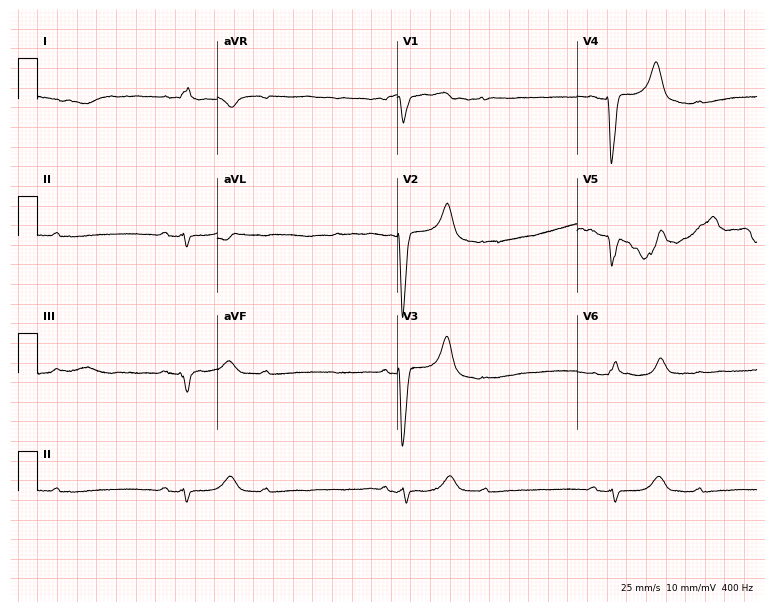
Standard 12-lead ECG recorded from a female, 82 years old (7.3-second recording at 400 Hz). None of these six findings is recorded: first-degree AV block, right bundle branch block, left bundle branch block, sinus bradycardia, atrial fibrillation, sinus tachycardia.